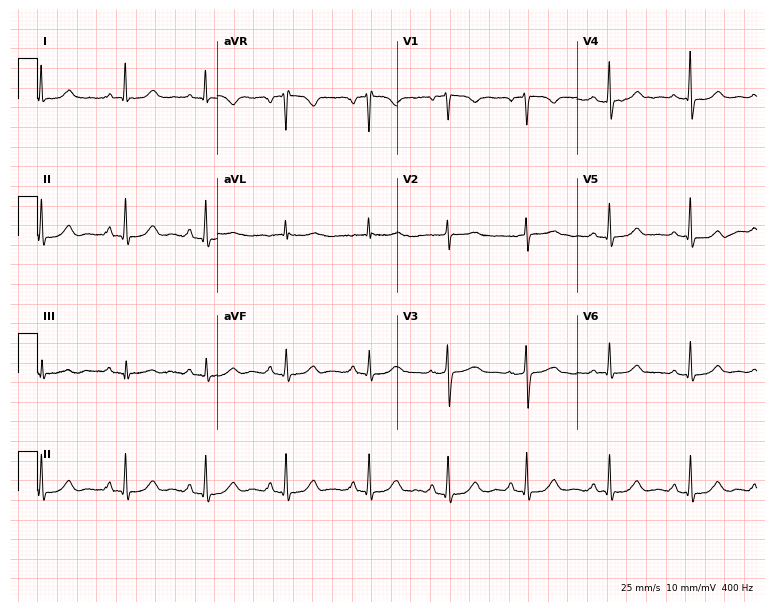
Resting 12-lead electrocardiogram. Patient: a 57-year-old male. Read as a normal ECG.